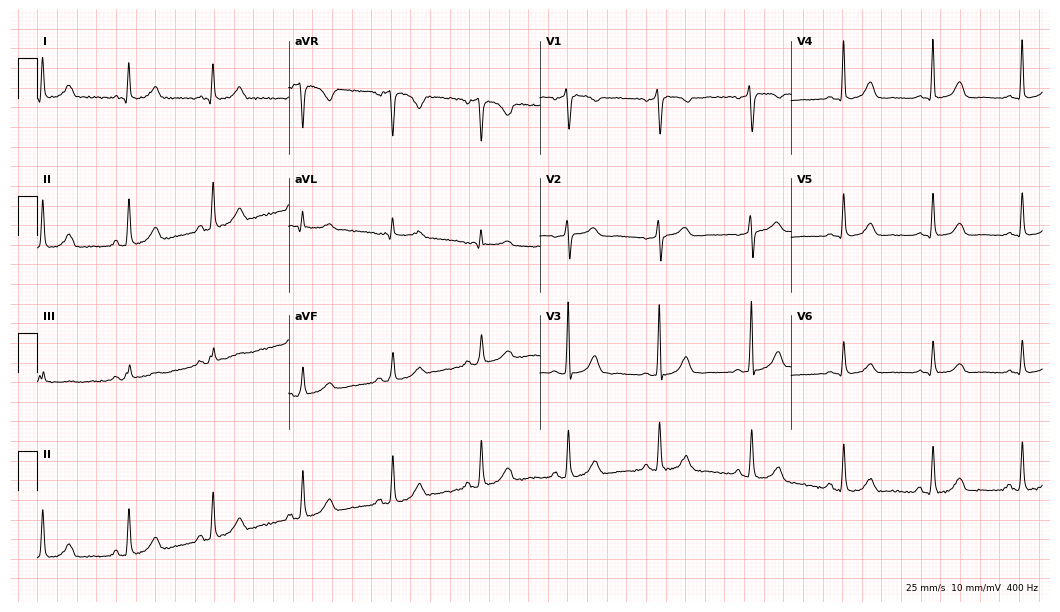
Electrocardiogram (10.2-second recording at 400 Hz), a 53-year-old female. Of the six screened findings (first-degree AV block, right bundle branch block, left bundle branch block, sinus bradycardia, atrial fibrillation, sinus tachycardia), none is recorded.